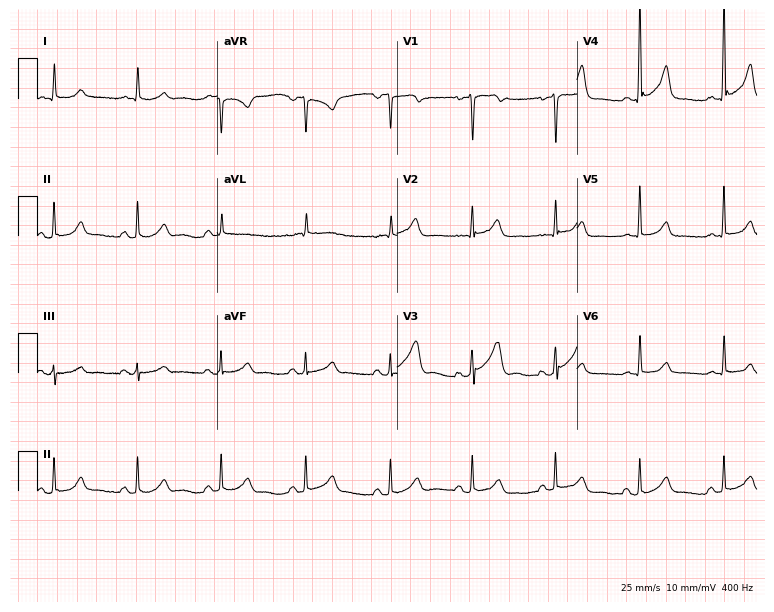
Standard 12-lead ECG recorded from a 64-year-old male patient (7.3-second recording at 400 Hz). Read as a normal ECG.